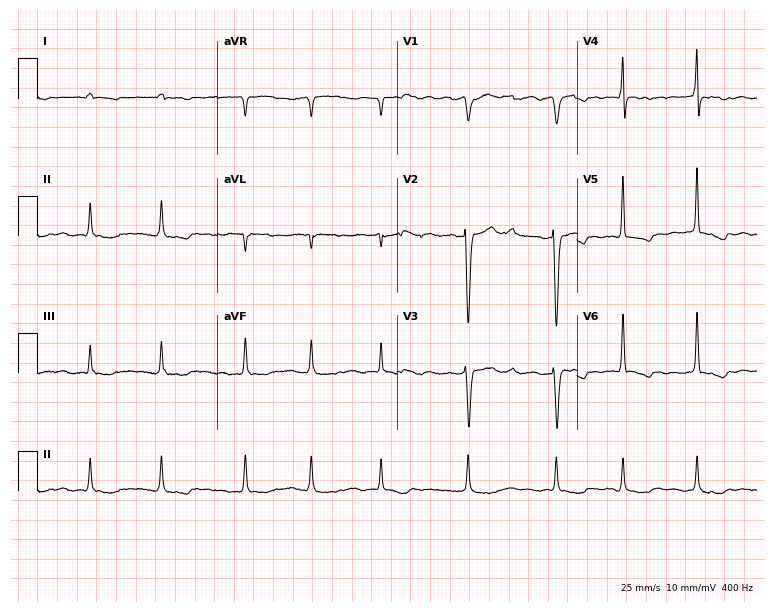
12-lead ECG from a 78-year-old woman. Findings include atrial fibrillation.